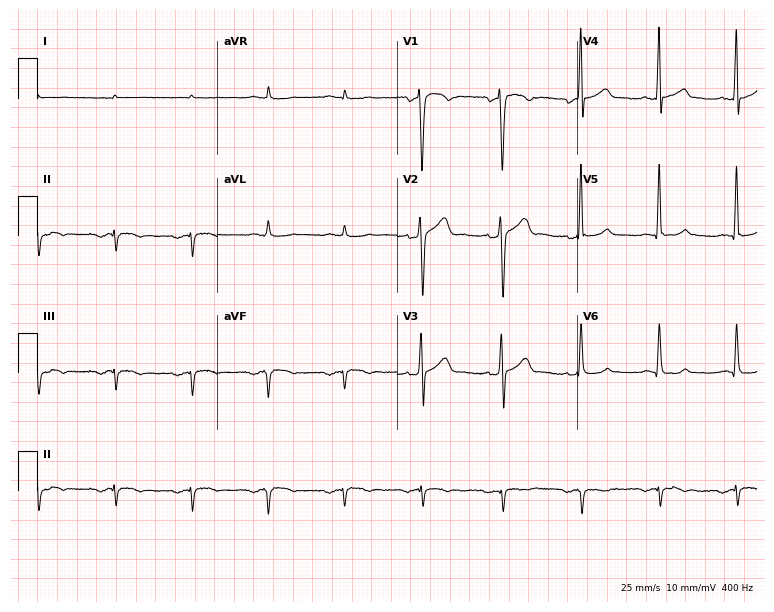
12-lead ECG from a 43-year-old male patient. Screened for six findings — first-degree AV block, right bundle branch block, left bundle branch block, sinus bradycardia, atrial fibrillation, sinus tachycardia — none is recorded.